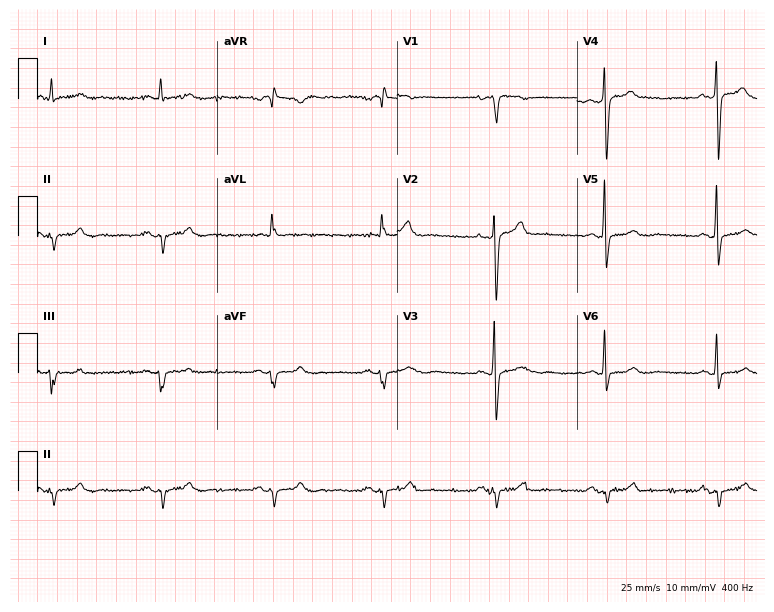
12-lead ECG from a 60-year-old man. No first-degree AV block, right bundle branch block, left bundle branch block, sinus bradycardia, atrial fibrillation or sinus tachycardia recorded for this tracing.